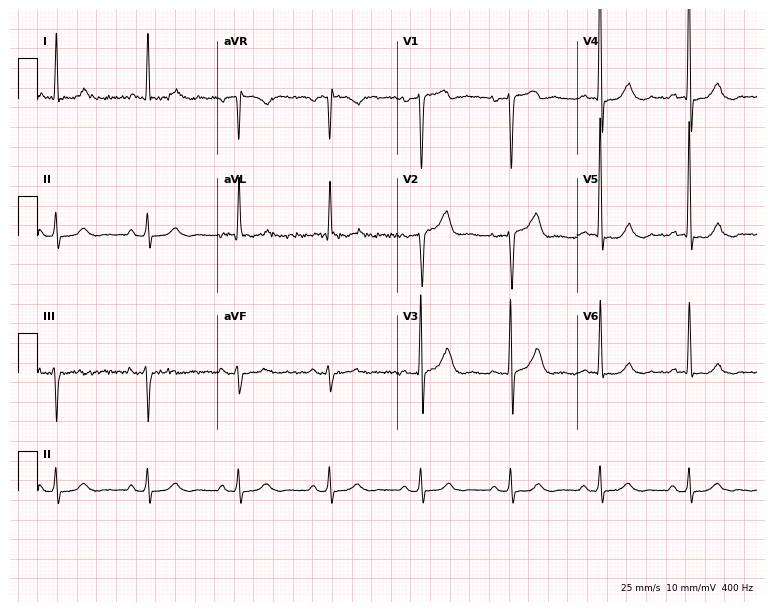
Resting 12-lead electrocardiogram. Patient: a man, 79 years old. None of these six findings is recorded: first-degree AV block, right bundle branch block, left bundle branch block, sinus bradycardia, atrial fibrillation, sinus tachycardia.